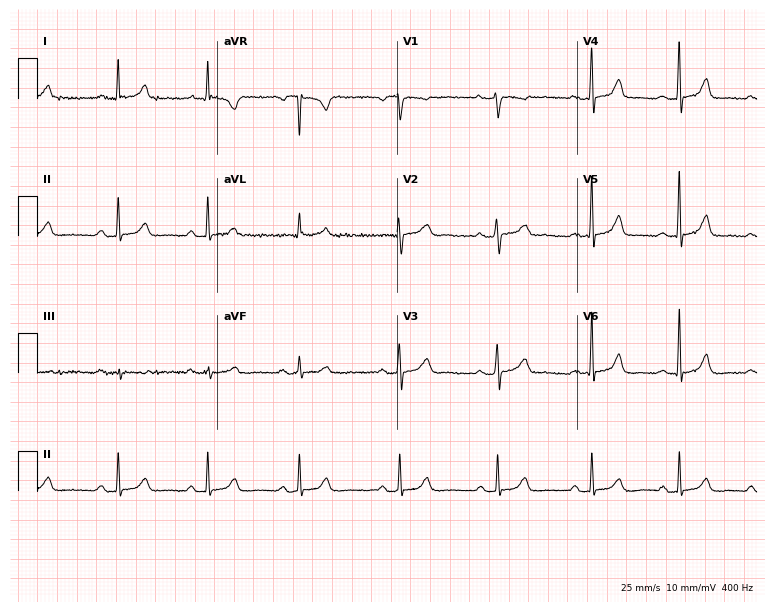
Resting 12-lead electrocardiogram (7.3-second recording at 400 Hz). Patient: a 35-year-old woman. Read as a normal ECG.